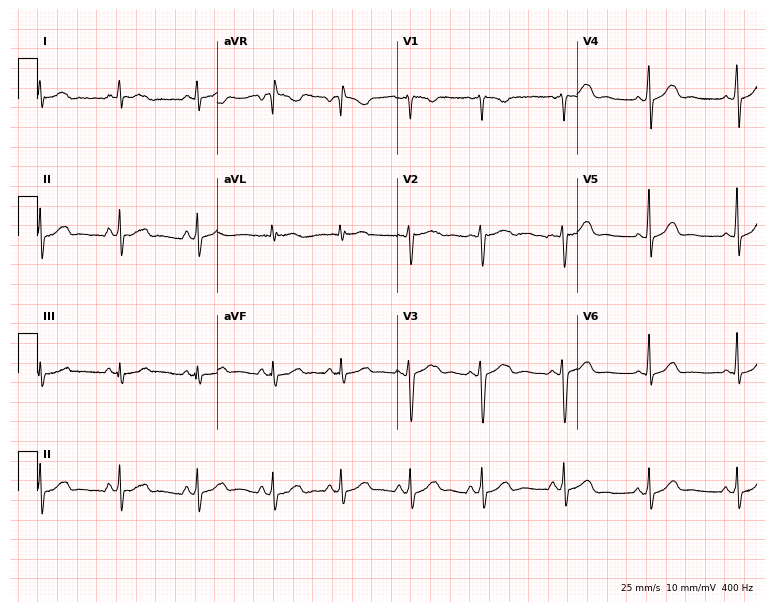
12-lead ECG from a 43-year-old female (7.3-second recording at 400 Hz). Recorded interpretation: within normal limits.